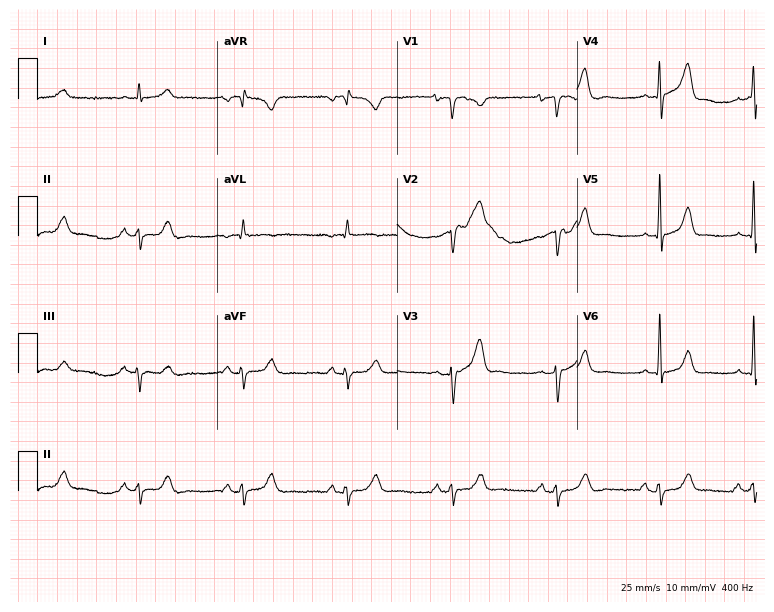
Standard 12-lead ECG recorded from a male, 69 years old. None of these six findings is recorded: first-degree AV block, right bundle branch block (RBBB), left bundle branch block (LBBB), sinus bradycardia, atrial fibrillation (AF), sinus tachycardia. Only these six findings were labelled.